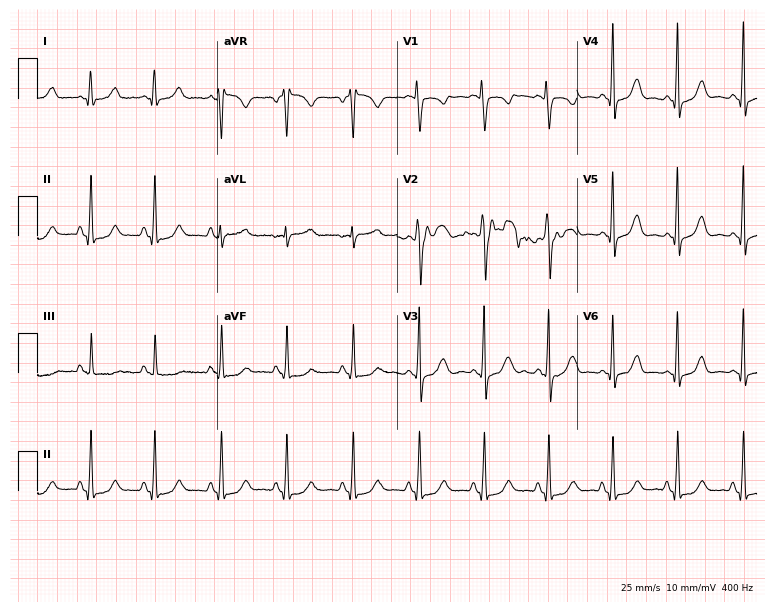
Electrocardiogram (7.3-second recording at 400 Hz), a 27-year-old female. Of the six screened findings (first-degree AV block, right bundle branch block, left bundle branch block, sinus bradycardia, atrial fibrillation, sinus tachycardia), none is recorded. Only these six findings were labelled.